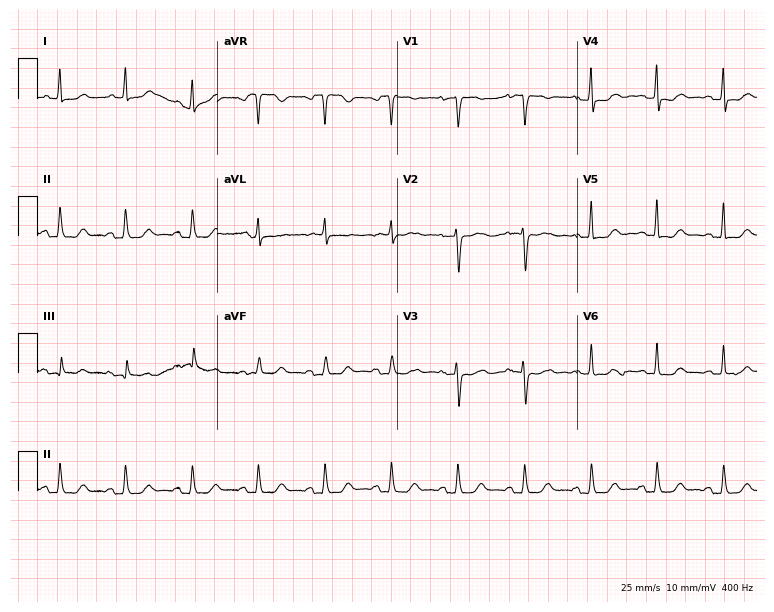
ECG — a female, 64 years old. Screened for six findings — first-degree AV block, right bundle branch block (RBBB), left bundle branch block (LBBB), sinus bradycardia, atrial fibrillation (AF), sinus tachycardia — none is recorded.